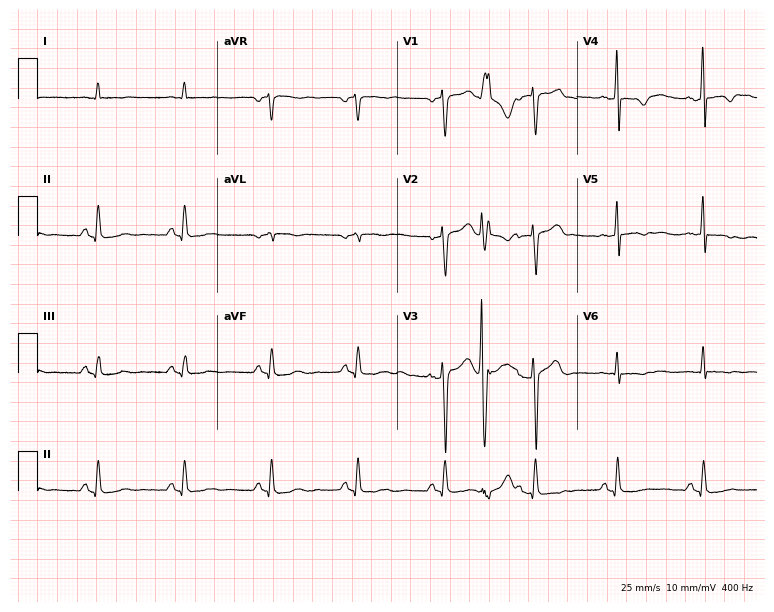
Resting 12-lead electrocardiogram (7.3-second recording at 400 Hz). Patient: a 52-year-old male. None of these six findings is recorded: first-degree AV block, right bundle branch block, left bundle branch block, sinus bradycardia, atrial fibrillation, sinus tachycardia.